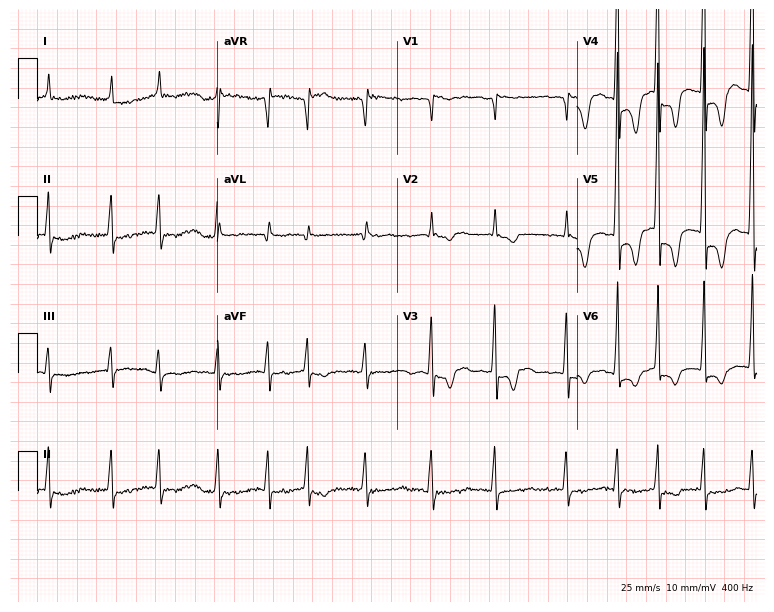
12-lead ECG (7.3-second recording at 400 Hz) from an 80-year-old male patient. Findings include atrial fibrillation.